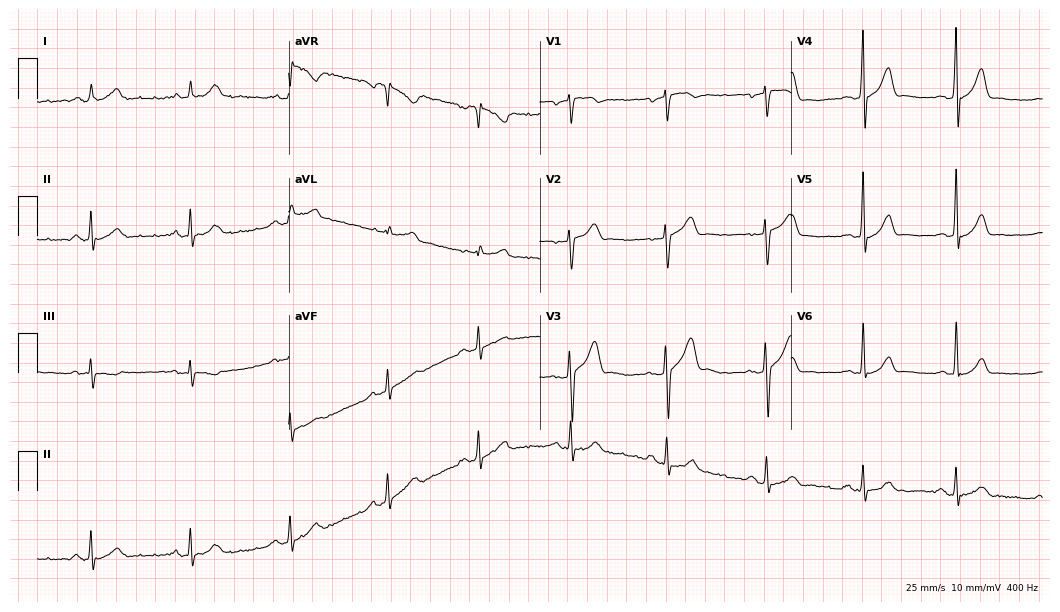
12-lead ECG from a 34-year-old female patient. Labelled as a normal ECG.